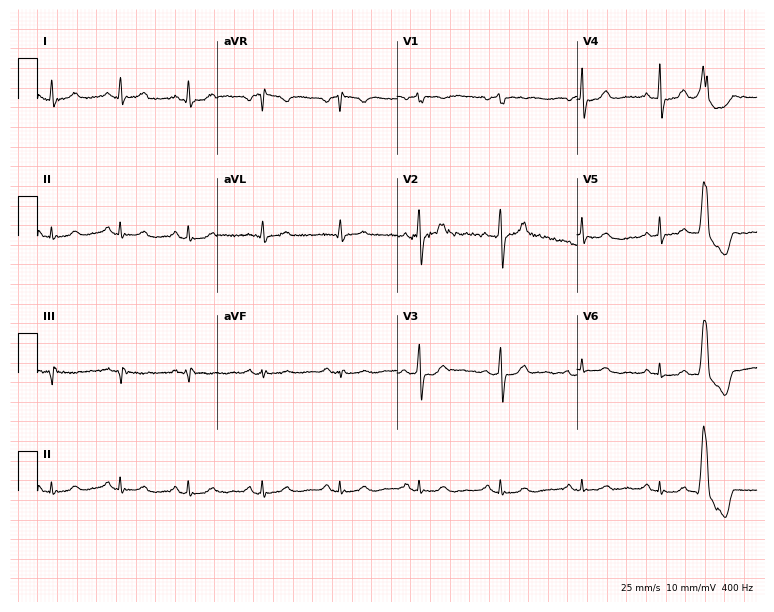
Electrocardiogram, a woman, 49 years old. Of the six screened findings (first-degree AV block, right bundle branch block (RBBB), left bundle branch block (LBBB), sinus bradycardia, atrial fibrillation (AF), sinus tachycardia), none is recorded.